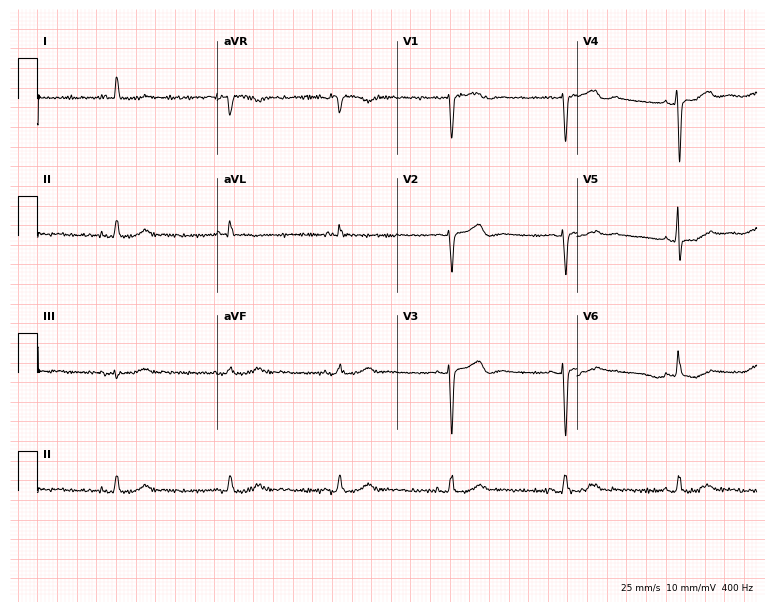
ECG (7.3-second recording at 400 Hz) — a 76-year-old female. Screened for six findings — first-degree AV block, right bundle branch block (RBBB), left bundle branch block (LBBB), sinus bradycardia, atrial fibrillation (AF), sinus tachycardia — none is recorded. Findings outside these six are not listed.